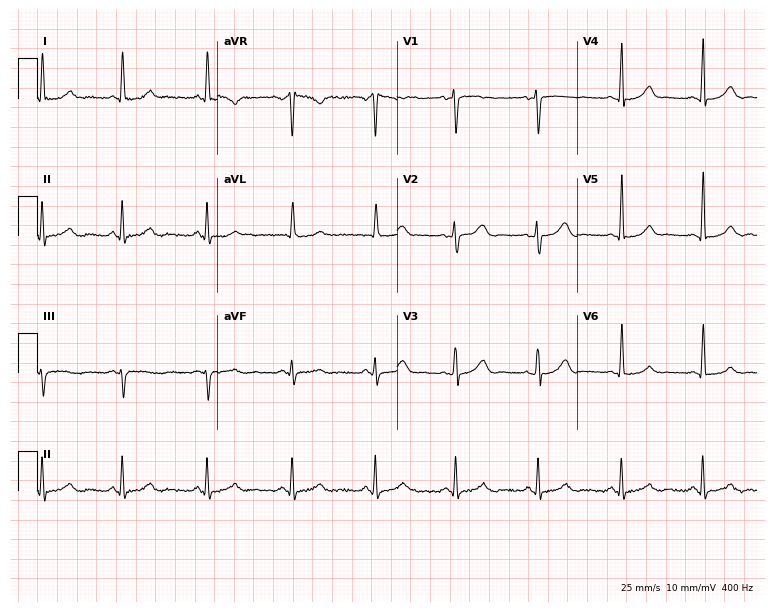
Standard 12-lead ECG recorded from a woman, 52 years old. Read as a normal ECG.